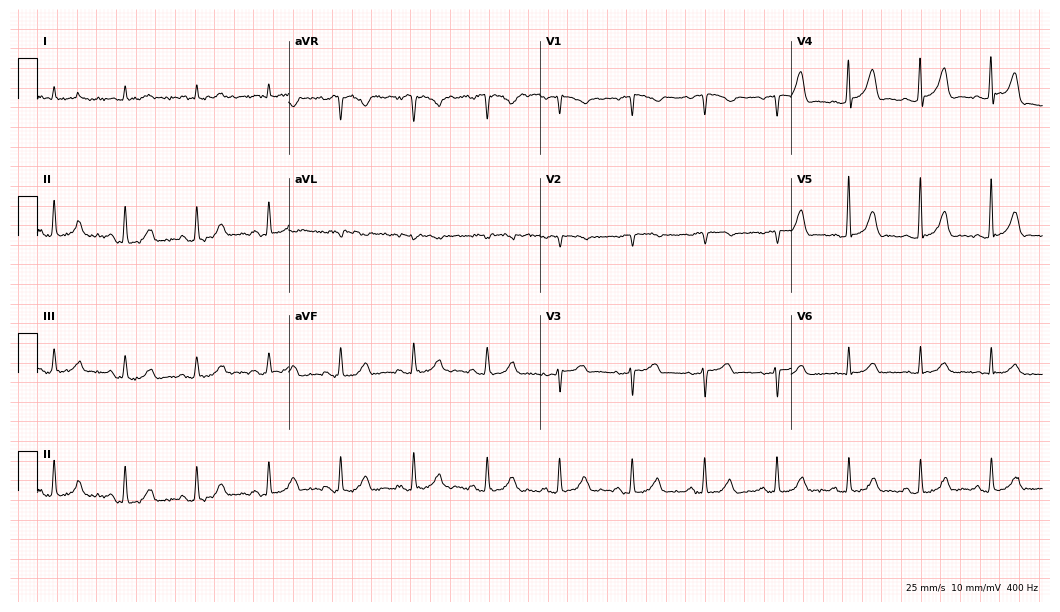
Standard 12-lead ECG recorded from an 81-year-old woman (10.2-second recording at 400 Hz). None of these six findings is recorded: first-degree AV block, right bundle branch block, left bundle branch block, sinus bradycardia, atrial fibrillation, sinus tachycardia.